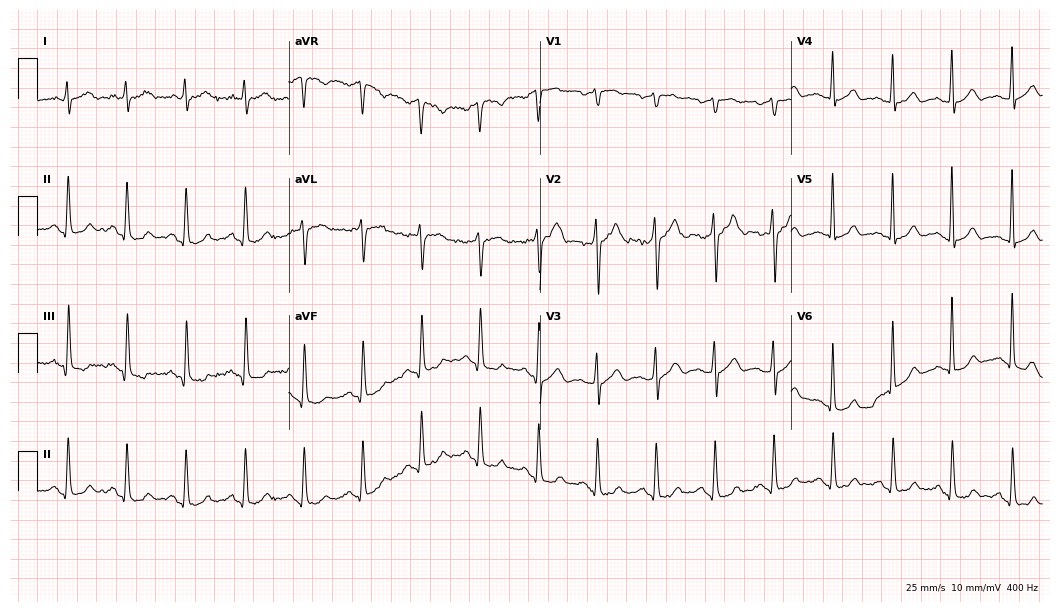
12-lead ECG from a 48-year-old man. Labelled as a normal ECG.